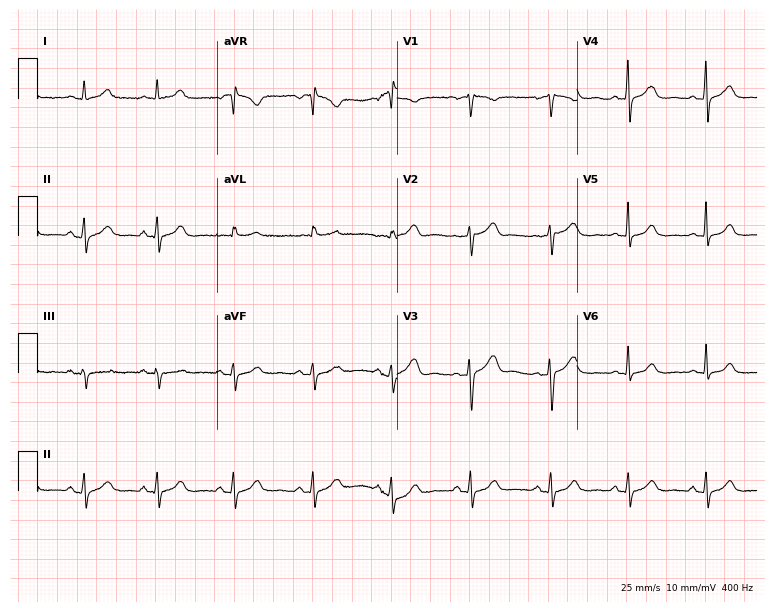
Standard 12-lead ECG recorded from a 50-year-old female (7.3-second recording at 400 Hz). Read as a normal ECG.